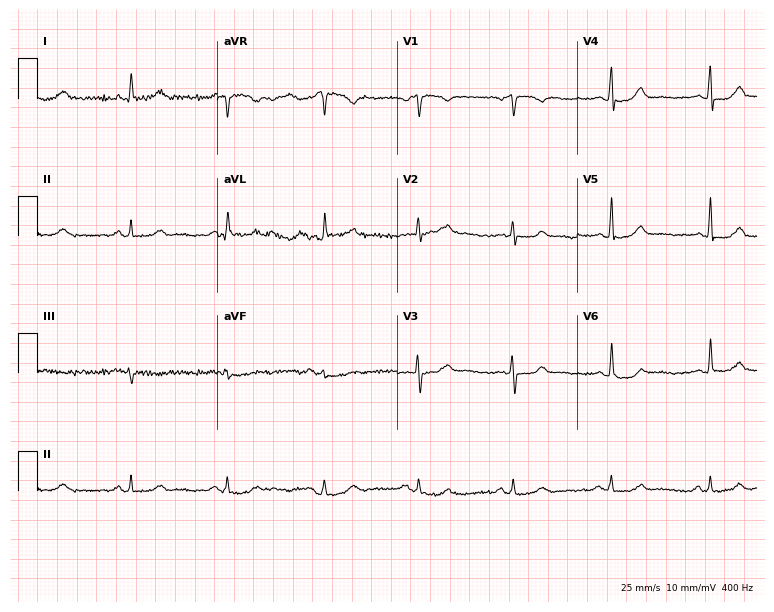
12-lead ECG (7.3-second recording at 400 Hz) from a female, 57 years old. Labelled as a normal ECG.